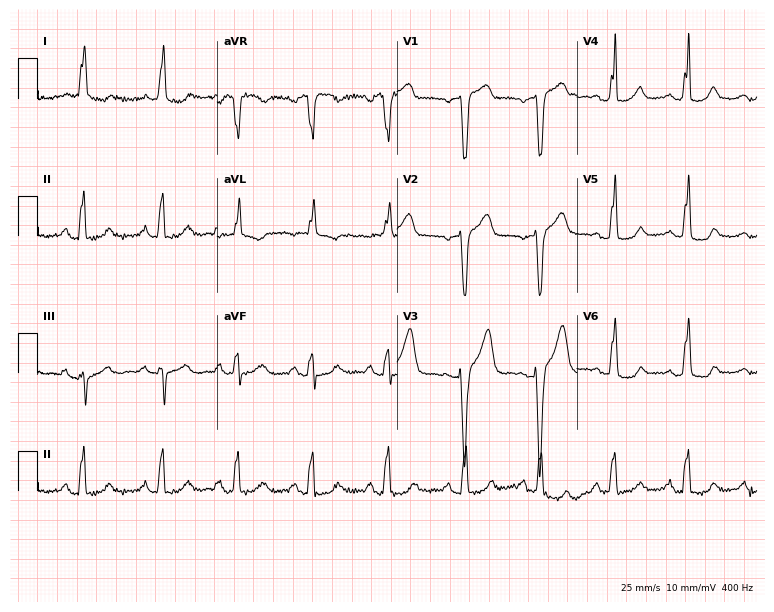
12-lead ECG from a female, 77 years old. Findings include left bundle branch block (LBBB).